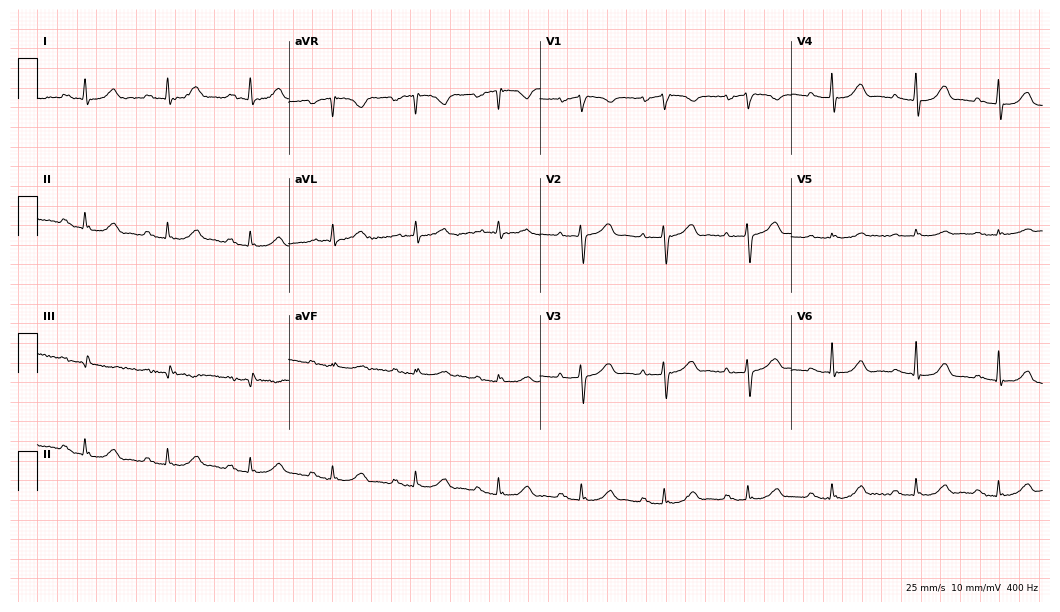
Resting 12-lead electrocardiogram (10.2-second recording at 400 Hz). Patient: an 84-year-old female. The tracing shows first-degree AV block.